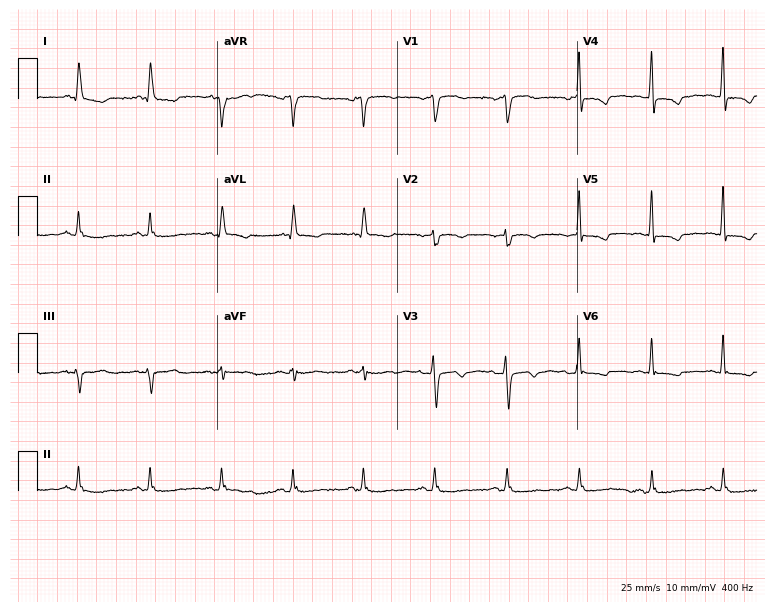
12-lead ECG from a 63-year-old female. Screened for six findings — first-degree AV block, right bundle branch block, left bundle branch block, sinus bradycardia, atrial fibrillation, sinus tachycardia — none is recorded.